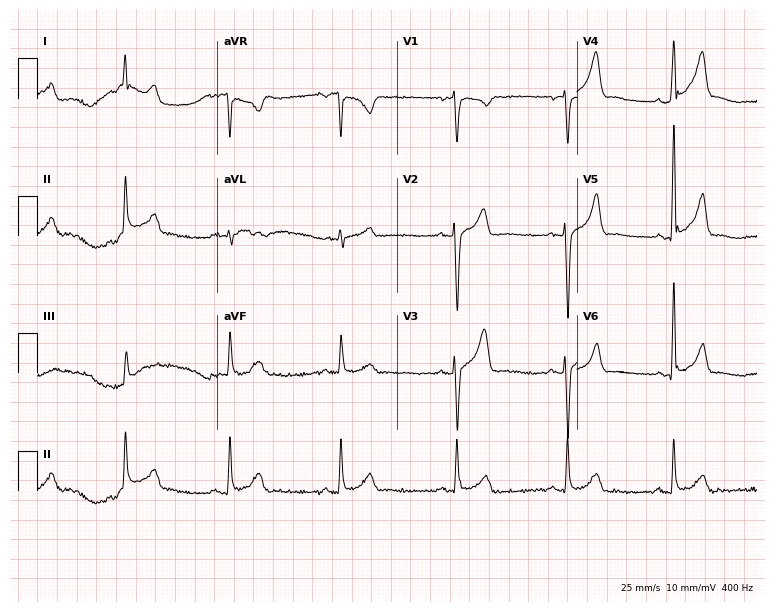
12-lead ECG from a 37-year-old man. No first-degree AV block, right bundle branch block (RBBB), left bundle branch block (LBBB), sinus bradycardia, atrial fibrillation (AF) or sinus tachycardia recorded for this tracing.